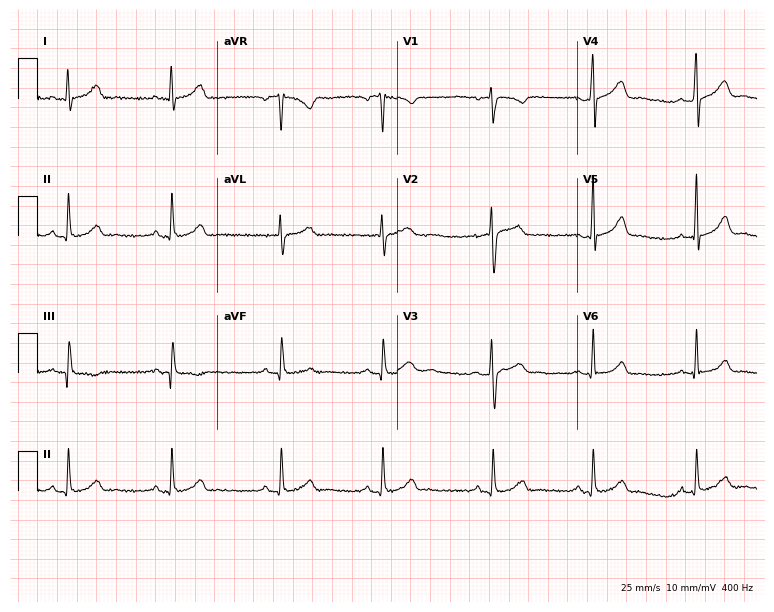
Electrocardiogram, a 24-year-old woman. Overall reading on record: normal ECG.